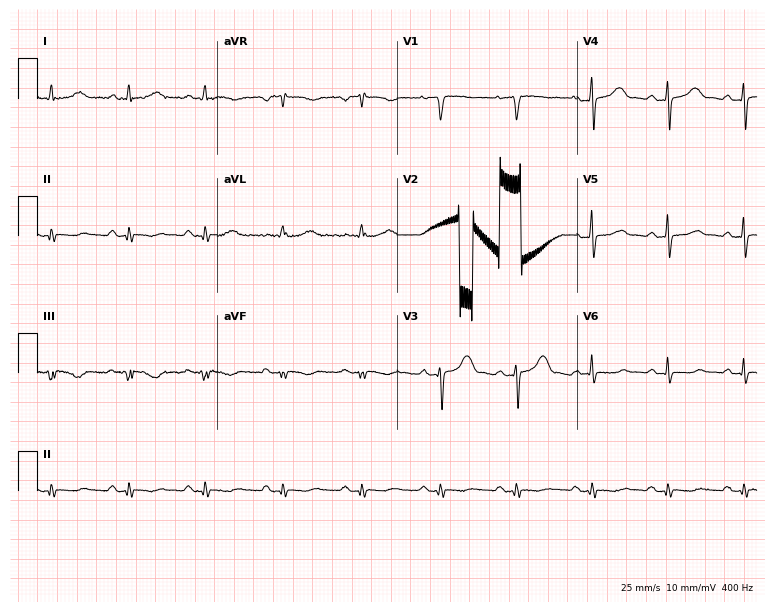
Standard 12-lead ECG recorded from a woman, 54 years old. None of these six findings is recorded: first-degree AV block, right bundle branch block, left bundle branch block, sinus bradycardia, atrial fibrillation, sinus tachycardia. Other findings, if any, are not listed.